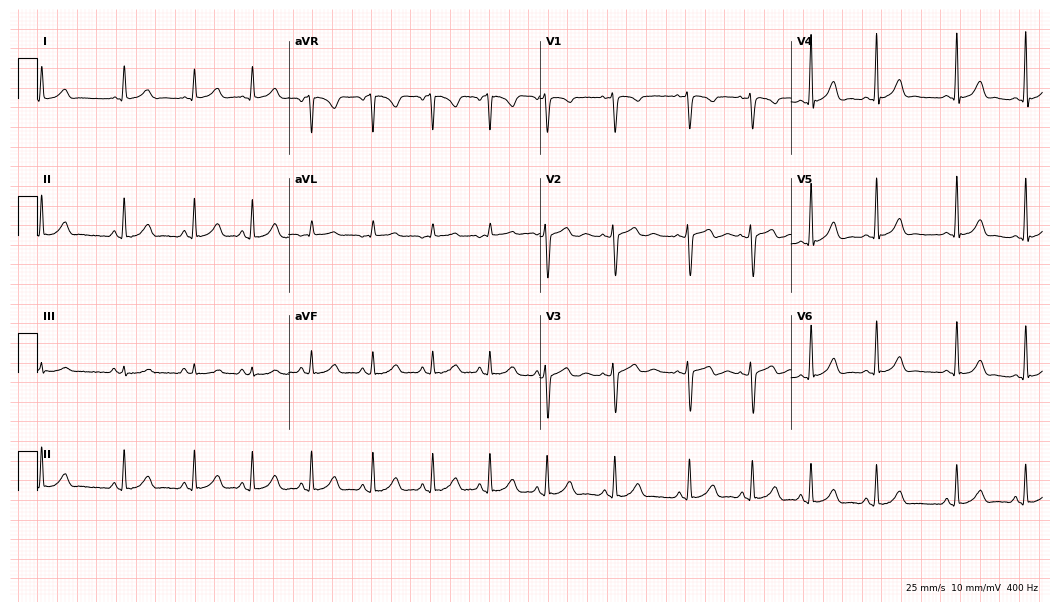
Resting 12-lead electrocardiogram. Patient: a female, 19 years old. Read as a normal ECG.